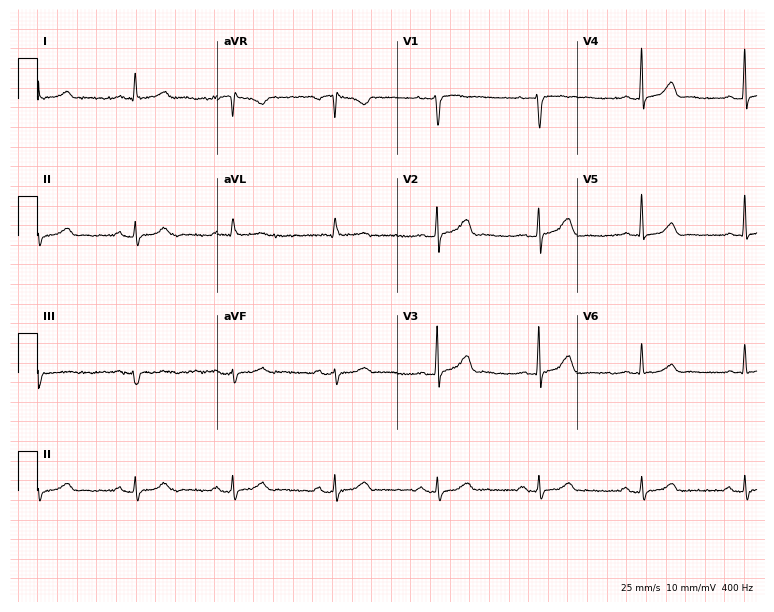
Standard 12-lead ECG recorded from a 43-year-old woman (7.3-second recording at 400 Hz). None of these six findings is recorded: first-degree AV block, right bundle branch block, left bundle branch block, sinus bradycardia, atrial fibrillation, sinus tachycardia. Findings outside these six are not listed.